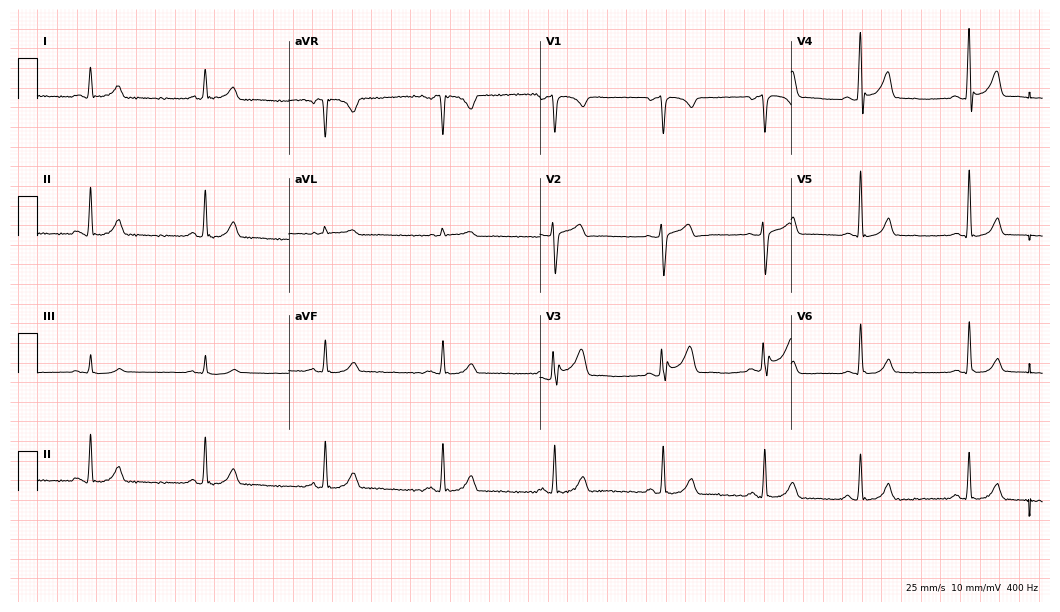
Electrocardiogram, a 50-year-old male patient. Of the six screened findings (first-degree AV block, right bundle branch block, left bundle branch block, sinus bradycardia, atrial fibrillation, sinus tachycardia), none is recorded. Findings outside these six are not listed.